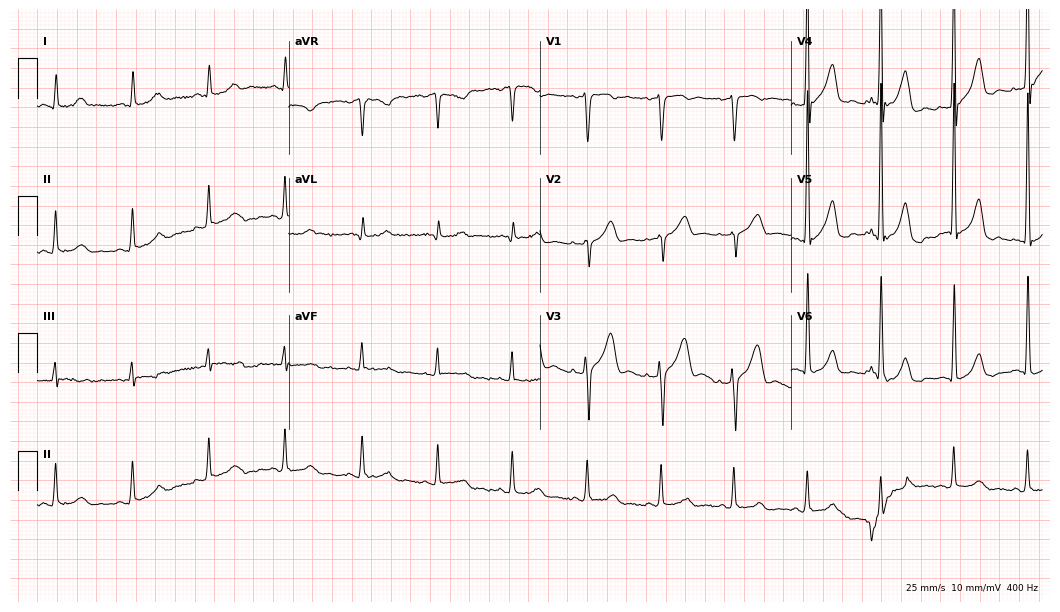
ECG — a 42-year-old man. Screened for six findings — first-degree AV block, right bundle branch block, left bundle branch block, sinus bradycardia, atrial fibrillation, sinus tachycardia — none is recorded.